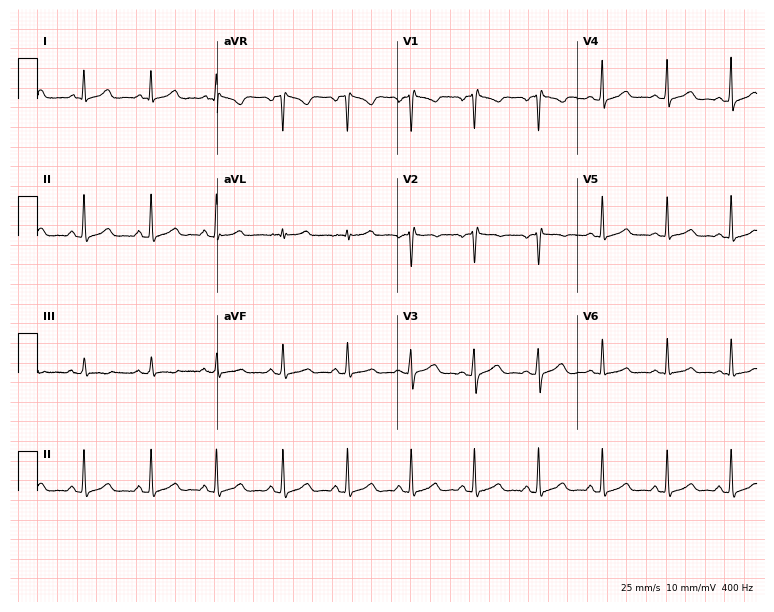
Resting 12-lead electrocardiogram. Patient: a 33-year-old female. Read as a normal ECG.